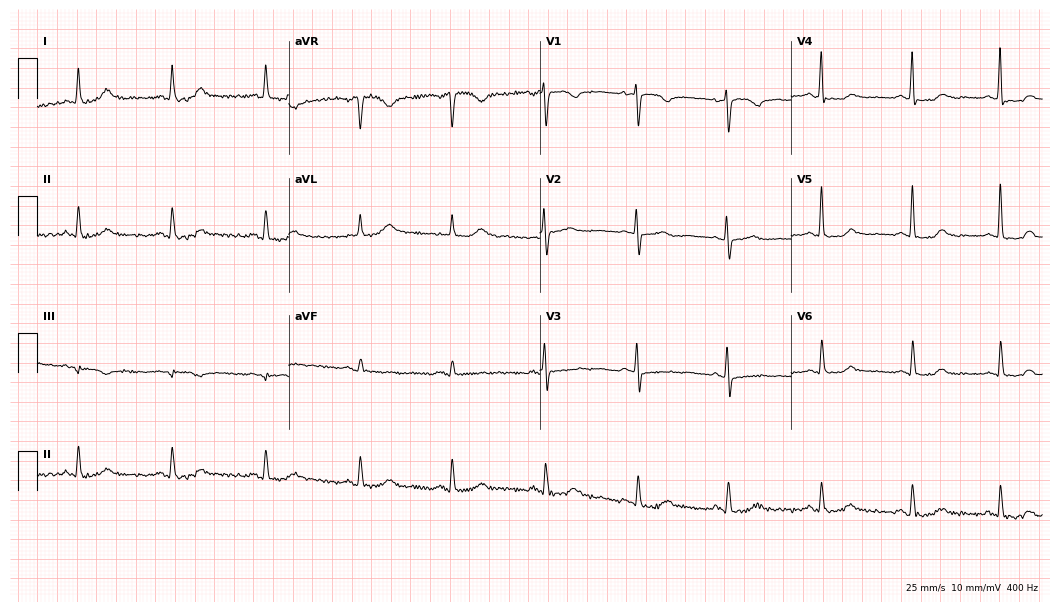
ECG (10.2-second recording at 400 Hz) — a female patient, 59 years old. Labelled as a normal ECG.